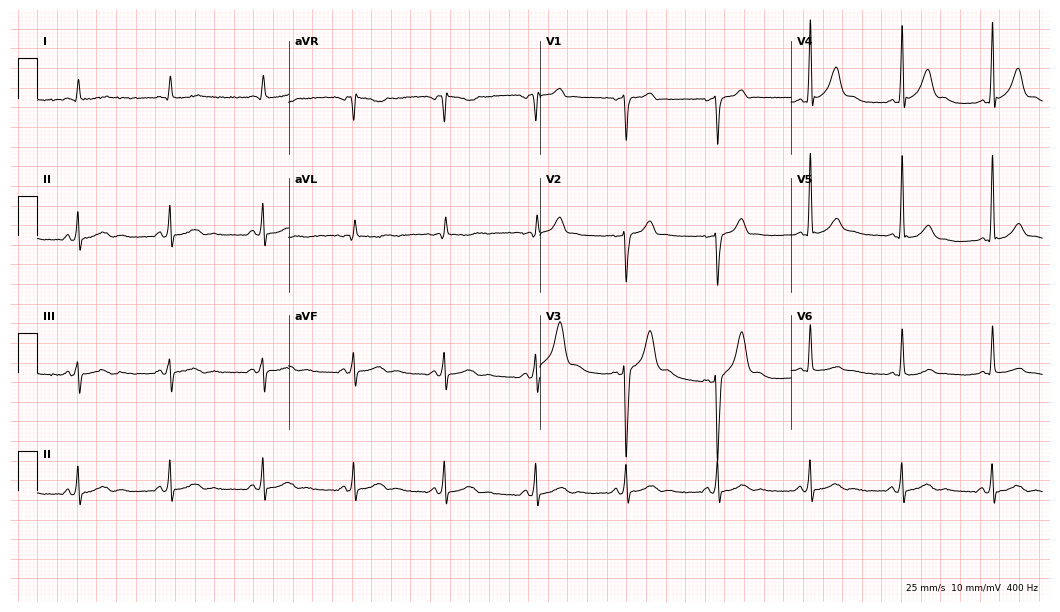
Standard 12-lead ECG recorded from a male patient, 74 years old (10.2-second recording at 400 Hz). None of these six findings is recorded: first-degree AV block, right bundle branch block, left bundle branch block, sinus bradycardia, atrial fibrillation, sinus tachycardia. Findings outside these six are not listed.